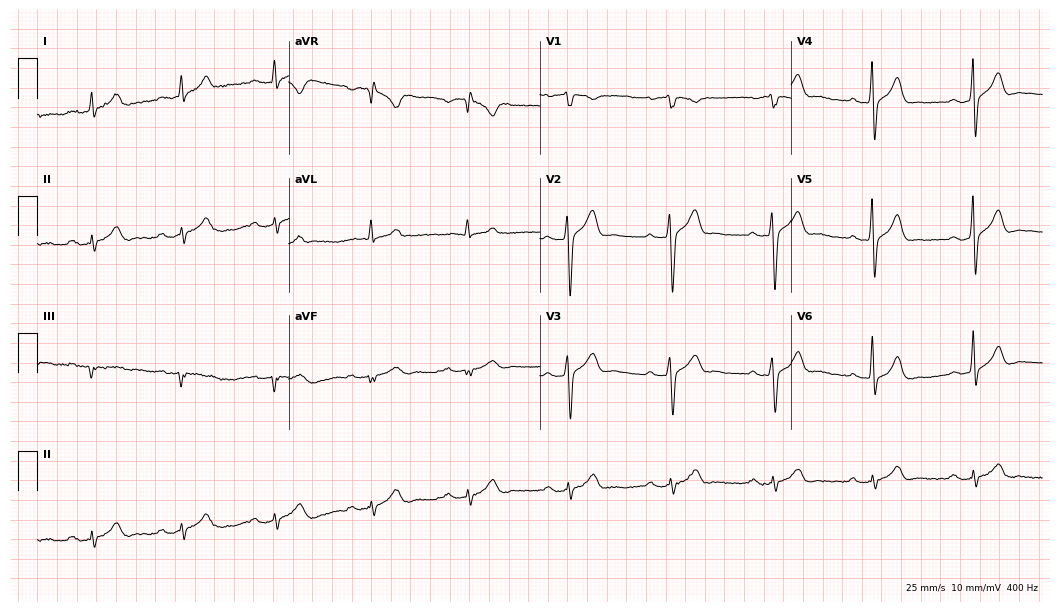
Standard 12-lead ECG recorded from a 48-year-old male (10.2-second recording at 400 Hz). Read as a normal ECG.